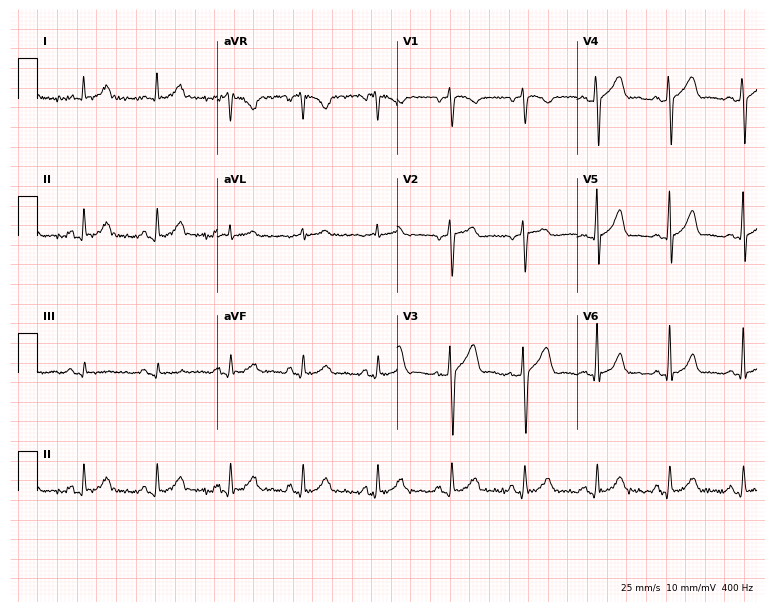
Electrocardiogram (7.3-second recording at 400 Hz), a 43-year-old male. Overall reading on record: normal ECG.